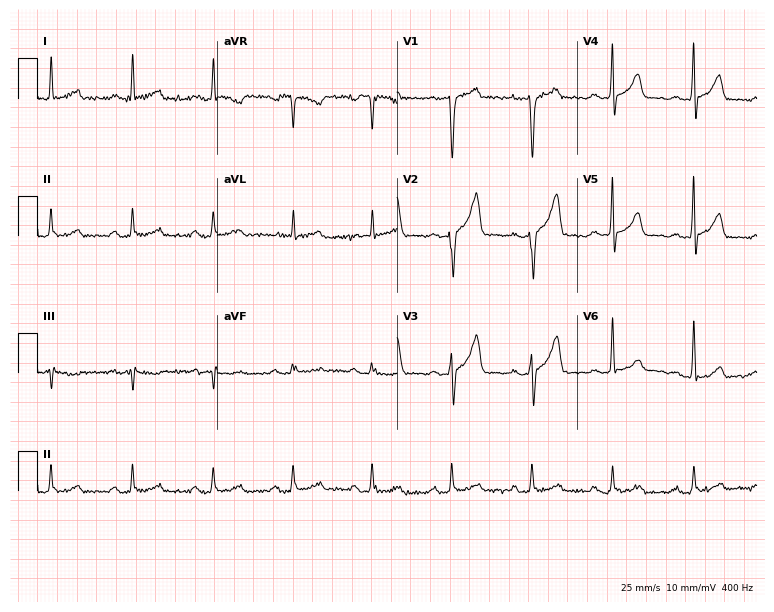
Standard 12-lead ECG recorded from a 42-year-old male patient (7.3-second recording at 400 Hz). None of these six findings is recorded: first-degree AV block, right bundle branch block (RBBB), left bundle branch block (LBBB), sinus bradycardia, atrial fibrillation (AF), sinus tachycardia. Only these six findings were labelled.